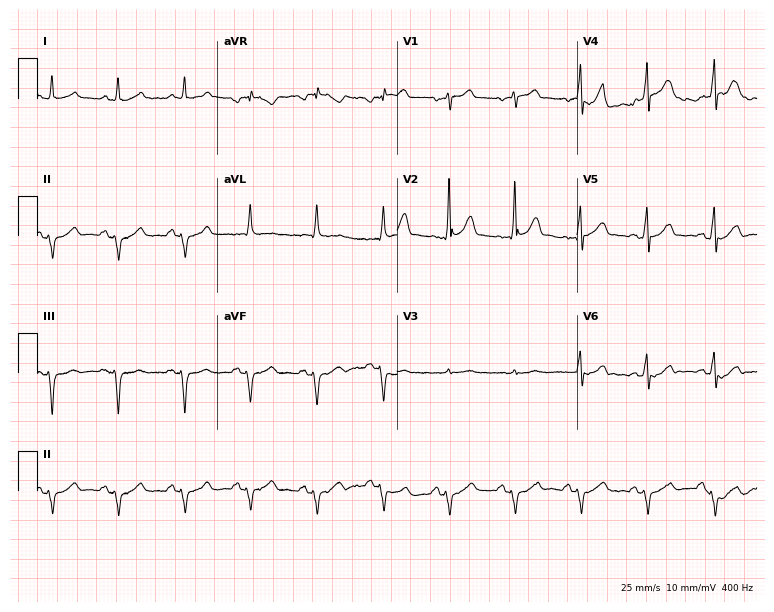
12-lead ECG from a male, 59 years old (7.3-second recording at 400 Hz). No first-degree AV block, right bundle branch block (RBBB), left bundle branch block (LBBB), sinus bradycardia, atrial fibrillation (AF) or sinus tachycardia recorded for this tracing.